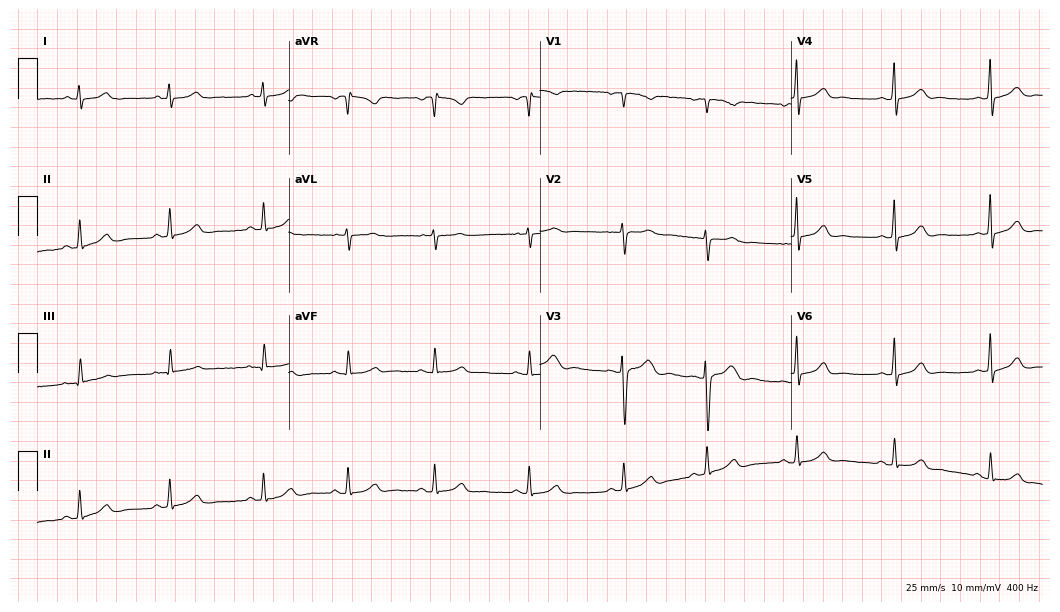
Electrocardiogram, a woman, 19 years old. Overall reading on record: normal ECG.